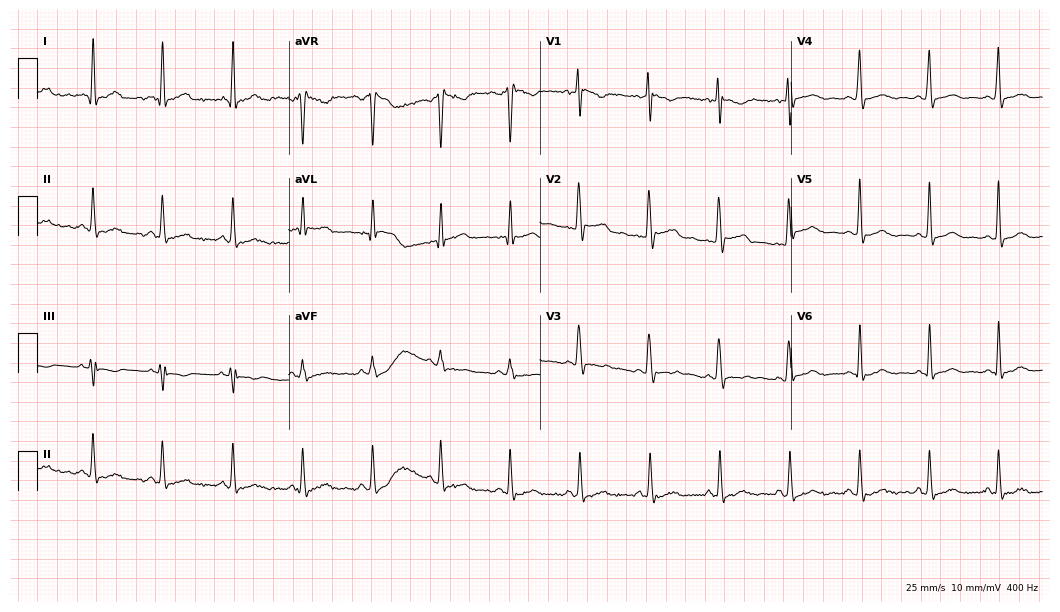
ECG (10.2-second recording at 400 Hz) — a 36-year-old female. Screened for six findings — first-degree AV block, right bundle branch block, left bundle branch block, sinus bradycardia, atrial fibrillation, sinus tachycardia — none is recorded.